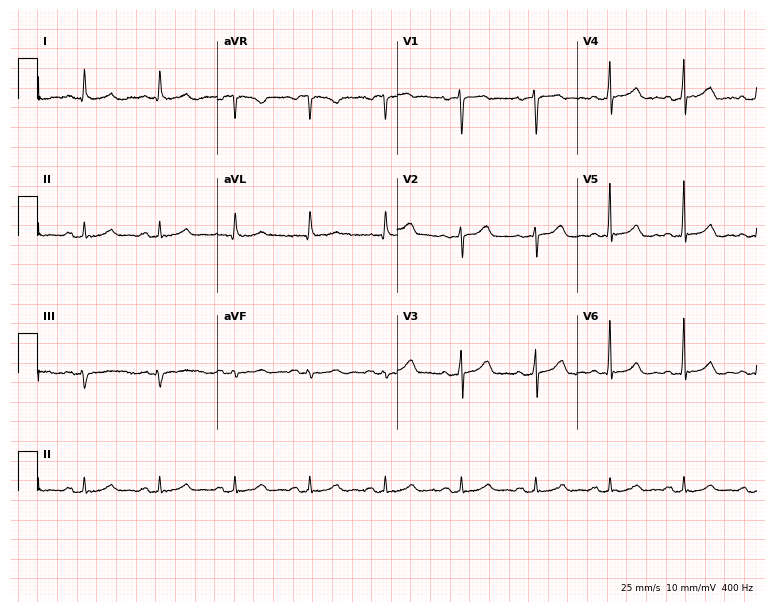
Resting 12-lead electrocardiogram (7.3-second recording at 400 Hz). Patient: a male, 78 years old. Read as a normal ECG.